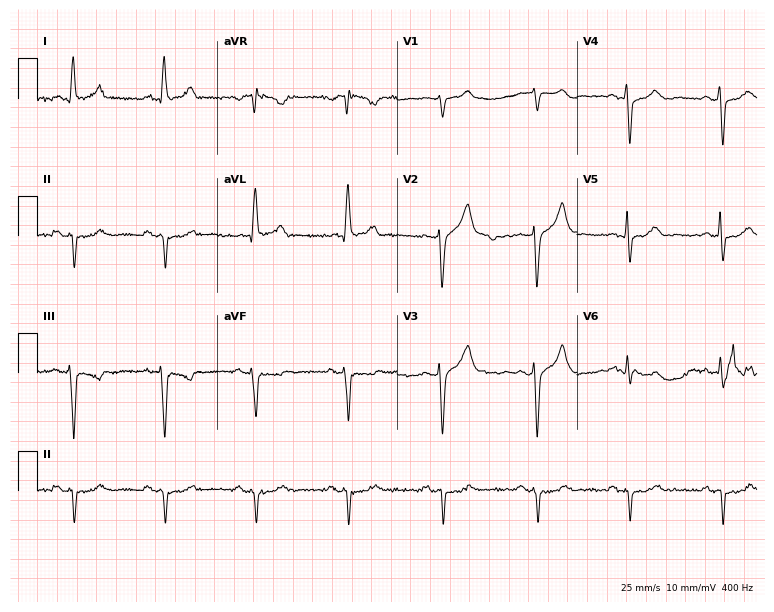
Electrocardiogram, a 58-year-old man. Of the six screened findings (first-degree AV block, right bundle branch block, left bundle branch block, sinus bradycardia, atrial fibrillation, sinus tachycardia), none is recorded.